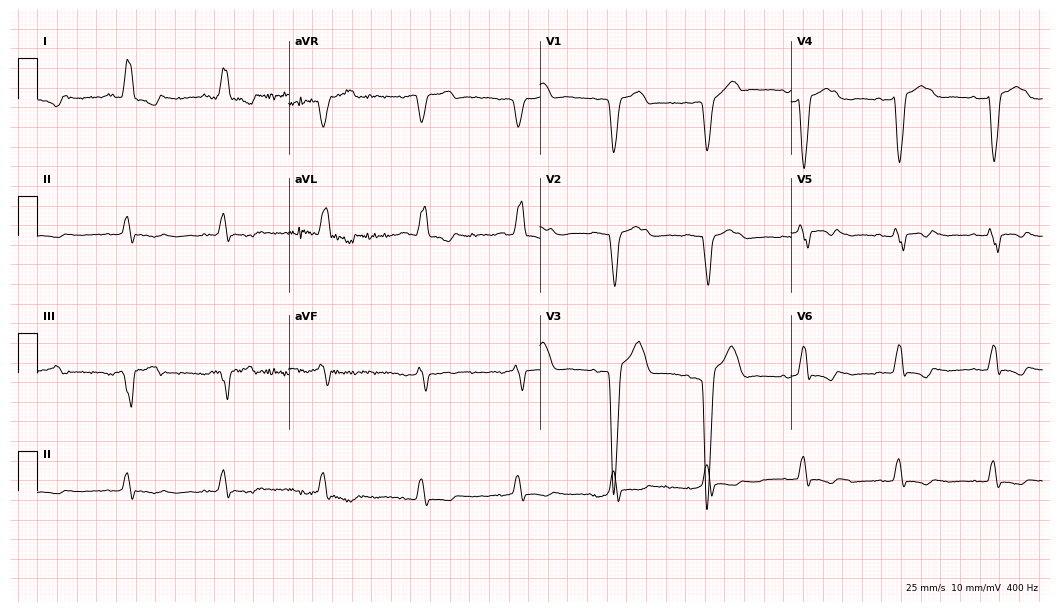
12-lead ECG from a 69-year-old male patient. Shows left bundle branch block (LBBB).